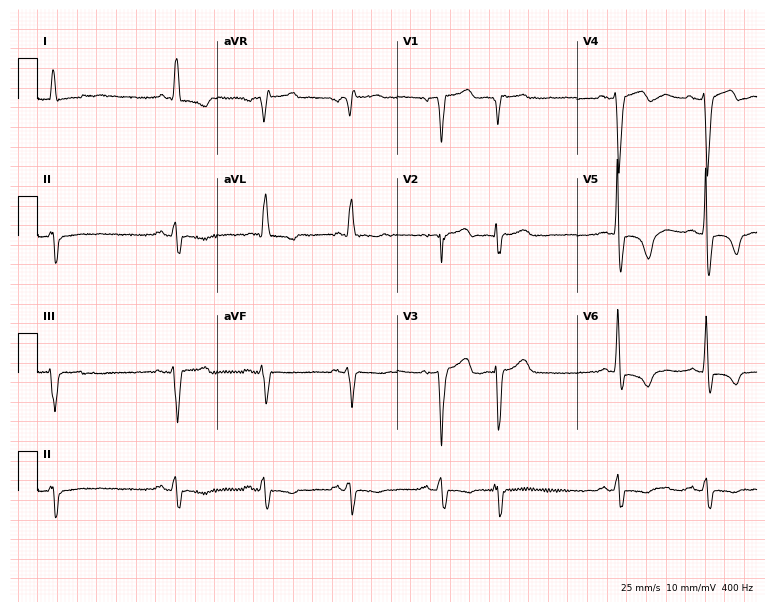
Resting 12-lead electrocardiogram. Patient: an 81-year-old man. None of these six findings is recorded: first-degree AV block, right bundle branch block, left bundle branch block, sinus bradycardia, atrial fibrillation, sinus tachycardia. Other findings, if any, are not listed.